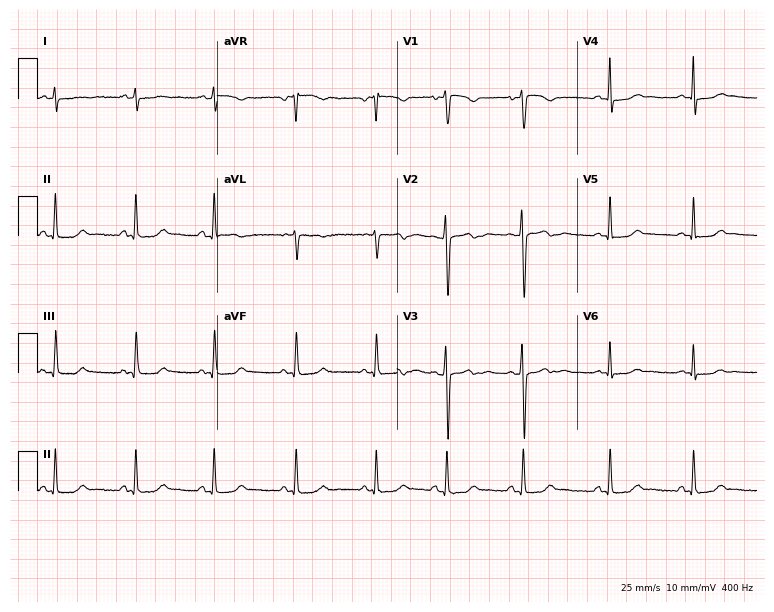
Standard 12-lead ECG recorded from a 17-year-old female. None of these six findings is recorded: first-degree AV block, right bundle branch block (RBBB), left bundle branch block (LBBB), sinus bradycardia, atrial fibrillation (AF), sinus tachycardia.